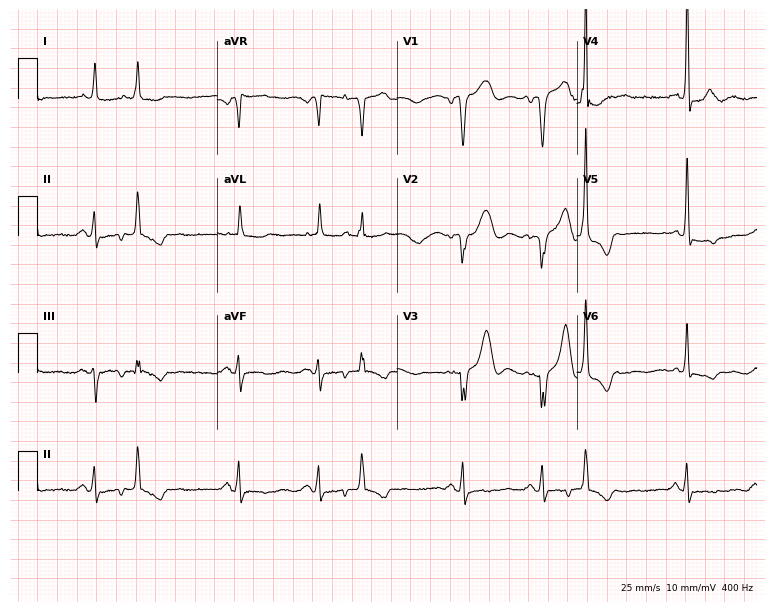
12-lead ECG from a female, 26 years old (7.3-second recording at 400 Hz). No first-degree AV block, right bundle branch block, left bundle branch block, sinus bradycardia, atrial fibrillation or sinus tachycardia recorded for this tracing. Other findings, if any, are not listed.